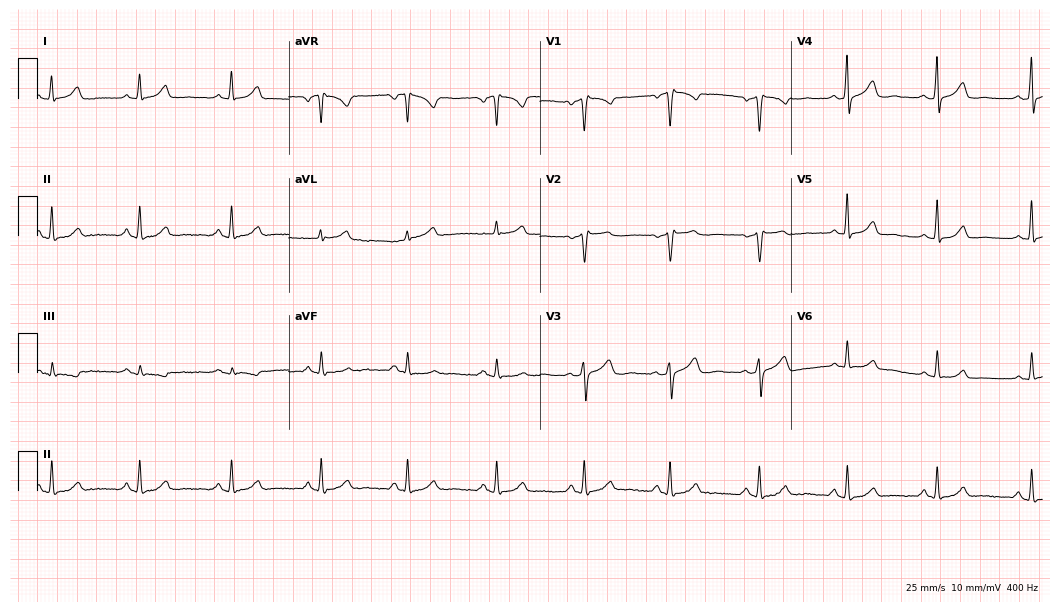
ECG — a 42-year-old female patient. Labelled as a normal ECG.